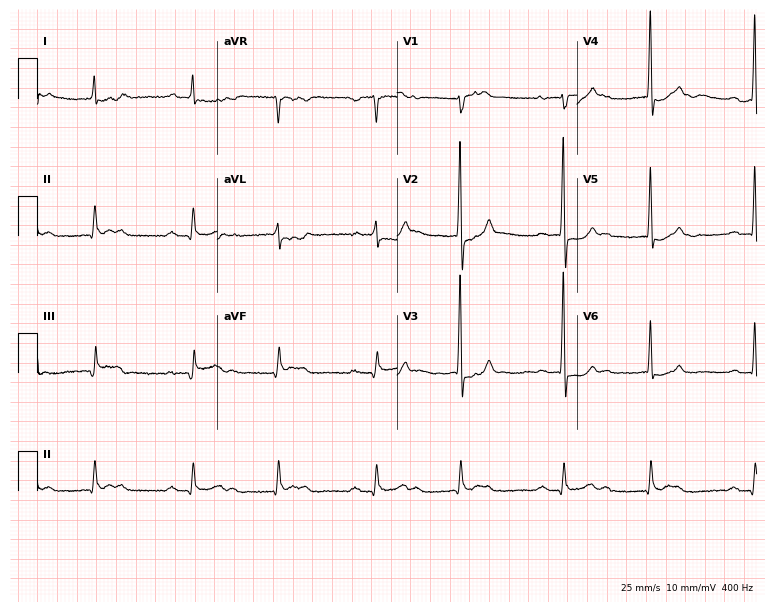
ECG — a man, 62 years old. Screened for six findings — first-degree AV block, right bundle branch block, left bundle branch block, sinus bradycardia, atrial fibrillation, sinus tachycardia — none is recorded.